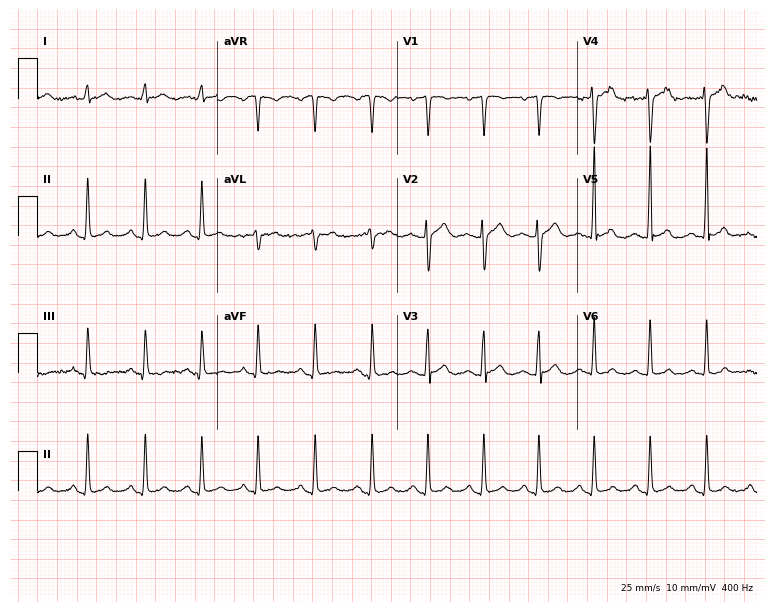
Resting 12-lead electrocardiogram (7.3-second recording at 400 Hz). Patient: a 24-year-old male. Read as a normal ECG.